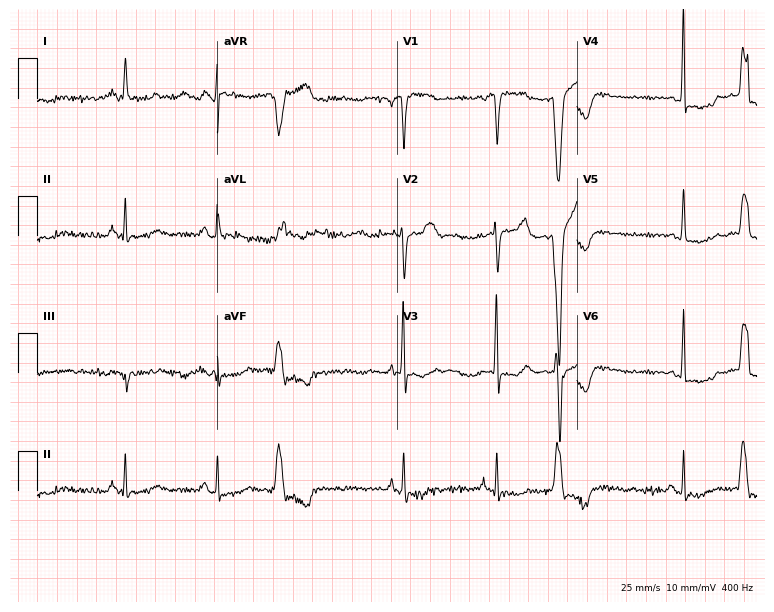
Electrocardiogram (7.3-second recording at 400 Hz), a female patient, 82 years old. Of the six screened findings (first-degree AV block, right bundle branch block, left bundle branch block, sinus bradycardia, atrial fibrillation, sinus tachycardia), none is recorded.